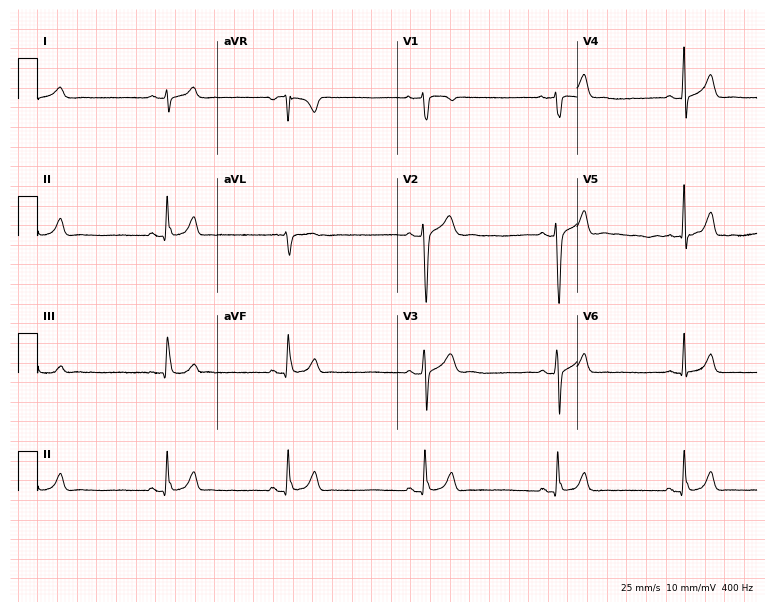
12-lead ECG (7.3-second recording at 400 Hz) from a 23-year-old female. Findings include right bundle branch block.